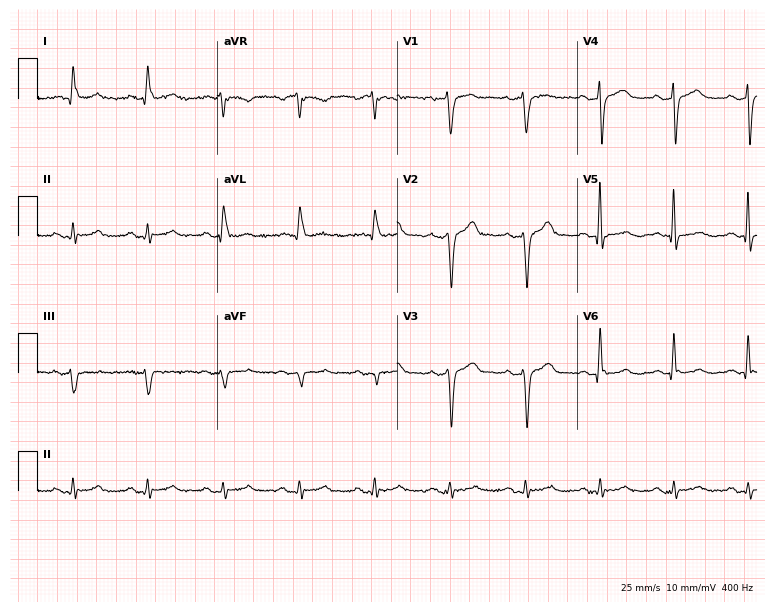
Standard 12-lead ECG recorded from a man, 69 years old. Read as a normal ECG.